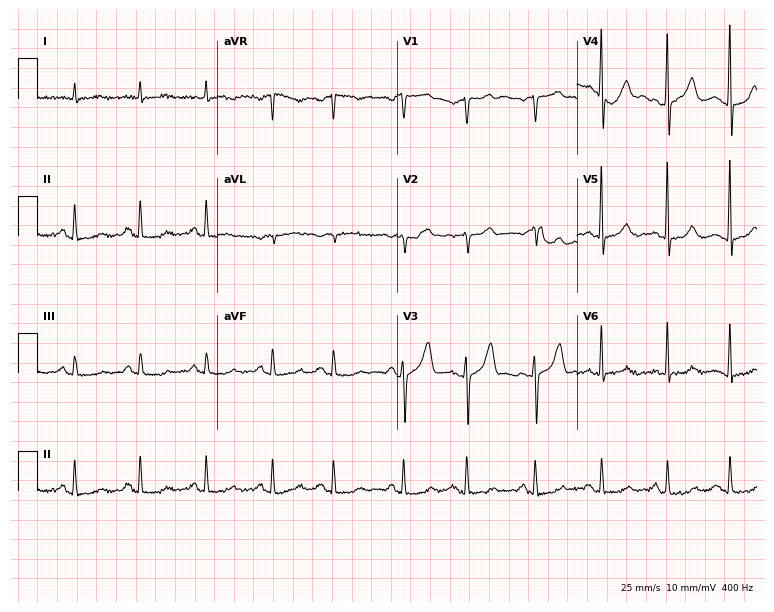
ECG — an 83-year-old male. Labelled as a normal ECG.